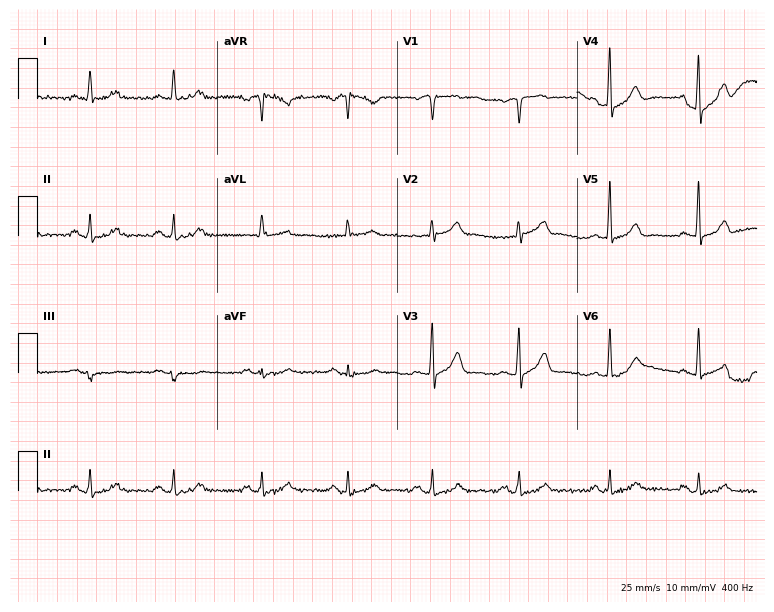
Standard 12-lead ECG recorded from a 63-year-old male patient. None of these six findings is recorded: first-degree AV block, right bundle branch block, left bundle branch block, sinus bradycardia, atrial fibrillation, sinus tachycardia.